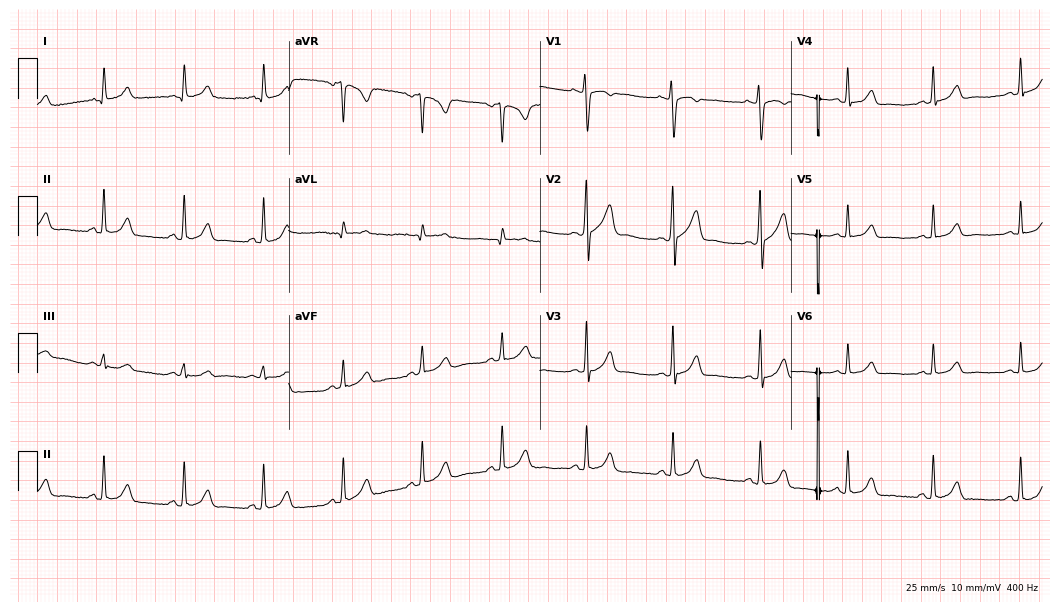
12-lead ECG from a 33-year-old woman. No first-degree AV block, right bundle branch block, left bundle branch block, sinus bradycardia, atrial fibrillation or sinus tachycardia recorded for this tracing. Only these six findings were labelled.